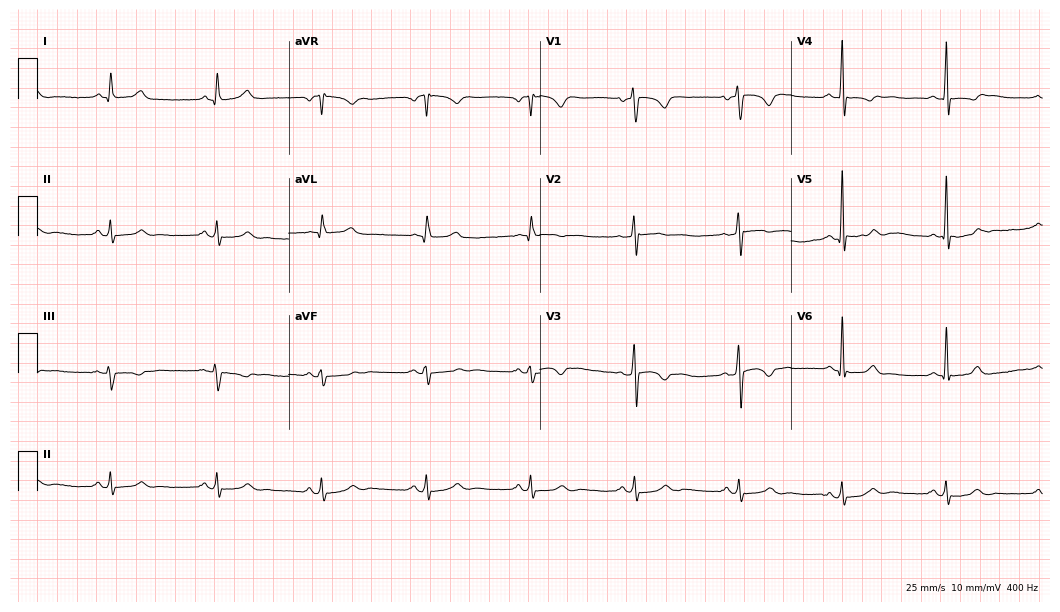
ECG (10.2-second recording at 400 Hz) — a male patient, 47 years old. Screened for six findings — first-degree AV block, right bundle branch block (RBBB), left bundle branch block (LBBB), sinus bradycardia, atrial fibrillation (AF), sinus tachycardia — none is recorded. Findings outside these six are not listed.